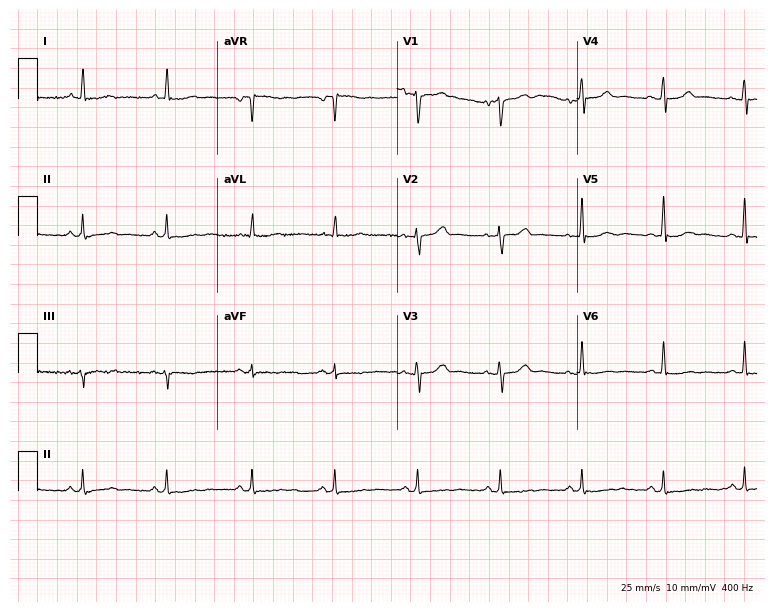
12-lead ECG from a 59-year-old woman (7.3-second recording at 400 Hz). No first-degree AV block, right bundle branch block, left bundle branch block, sinus bradycardia, atrial fibrillation or sinus tachycardia recorded for this tracing.